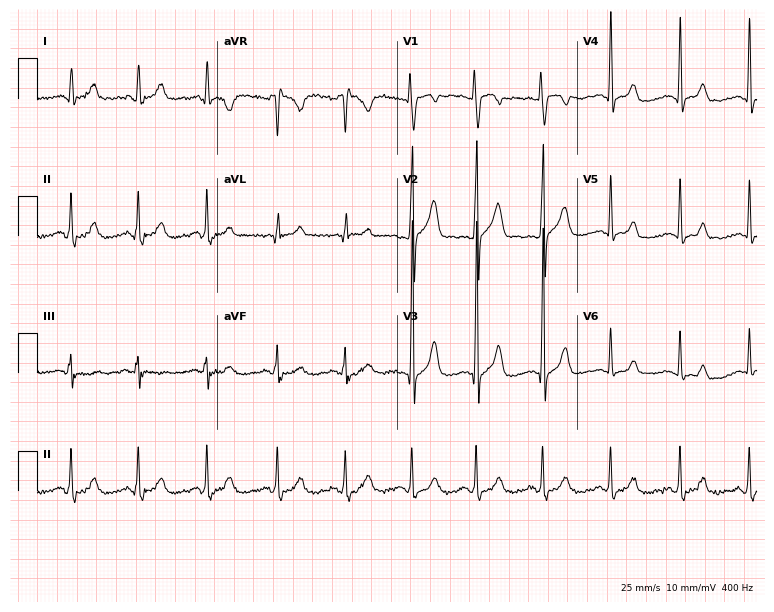
Resting 12-lead electrocardiogram. Patient: a 22-year-old male. None of these six findings is recorded: first-degree AV block, right bundle branch block, left bundle branch block, sinus bradycardia, atrial fibrillation, sinus tachycardia. Findings outside these six are not listed.